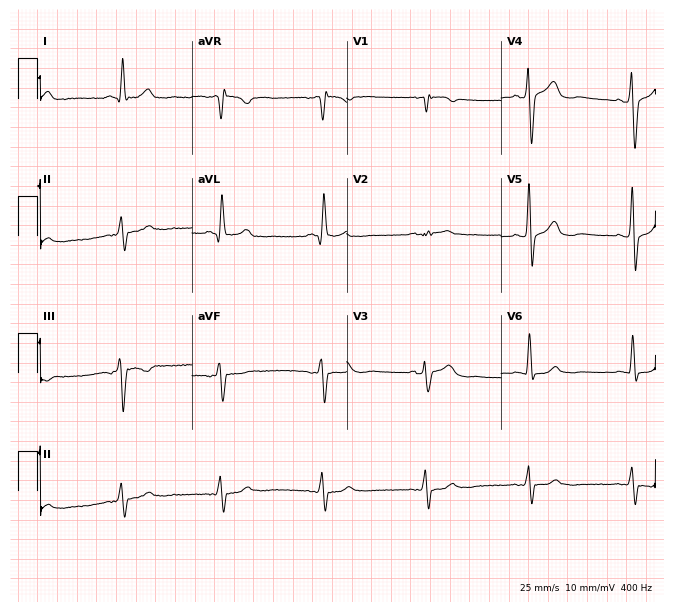
Resting 12-lead electrocardiogram (6.3-second recording at 400 Hz). Patient: a 66-year-old man. None of these six findings is recorded: first-degree AV block, right bundle branch block, left bundle branch block, sinus bradycardia, atrial fibrillation, sinus tachycardia. Only these six findings were labelled.